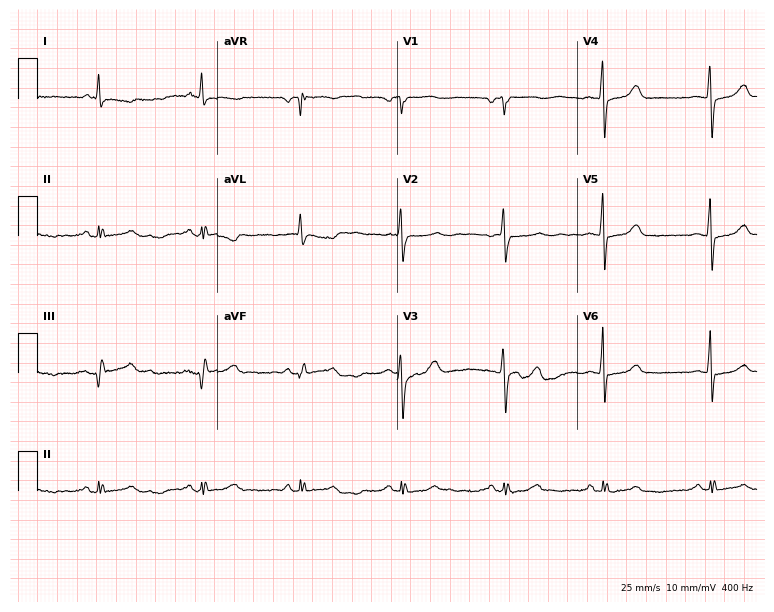
12-lead ECG (7.3-second recording at 400 Hz) from a female, 65 years old. Screened for six findings — first-degree AV block, right bundle branch block, left bundle branch block, sinus bradycardia, atrial fibrillation, sinus tachycardia — none is recorded. Other findings, if any, are not listed.